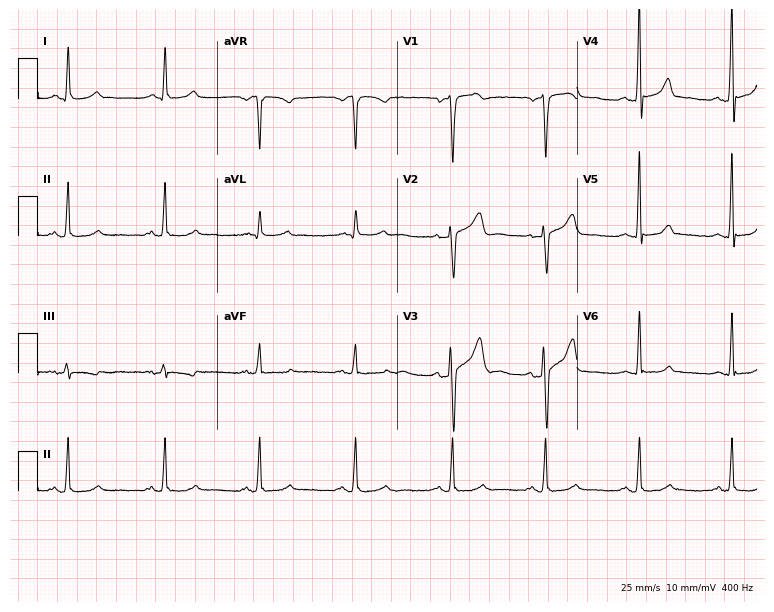
Standard 12-lead ECG recorded from a woman, 35 years old. Read as a normal ECG.